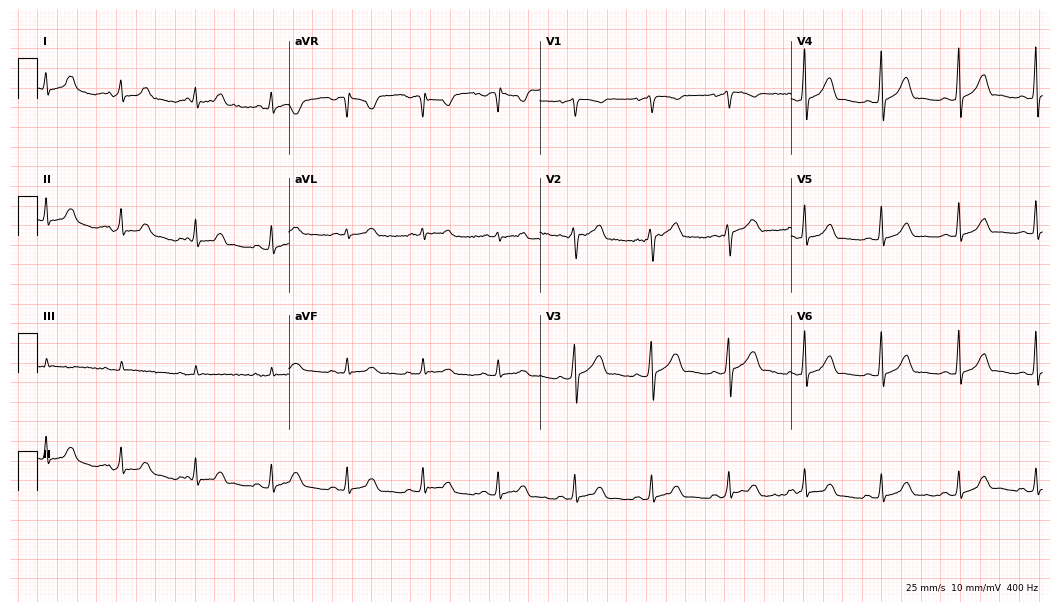
ECG — a male patient, 43 years old. Screened for six findings — first-degree AV block, right bundle branch block (RBBB), left bundle branch block (LBBB), sinus bradycardia, atrial fibrillation (AF), sinus tachycardia — none is recorded.